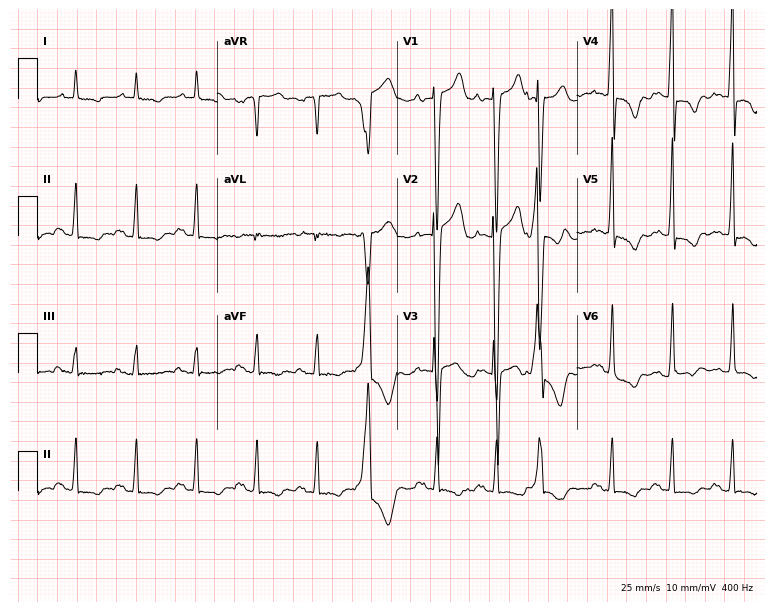
Electrocardiogram (7.3-second recording at 400 Hz), a 62-year-old man. Of the six screened findings (first-degree AV block, right bundle branch block, left bundle branch block, sinus bradycardia, atrial fibrillation, sinus tachycardia), none is recorded. Only these six findings were labelled.